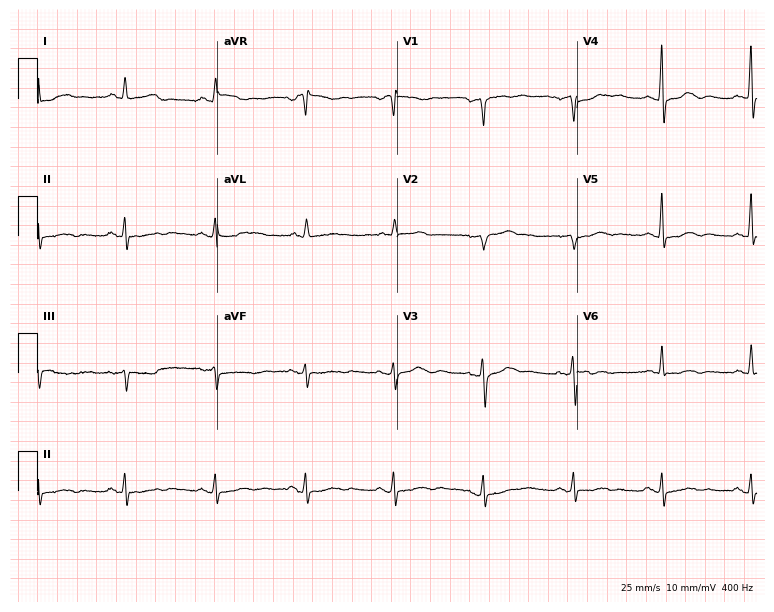
ECG — a woman, 57 years old. Labelled as a normal ECG.